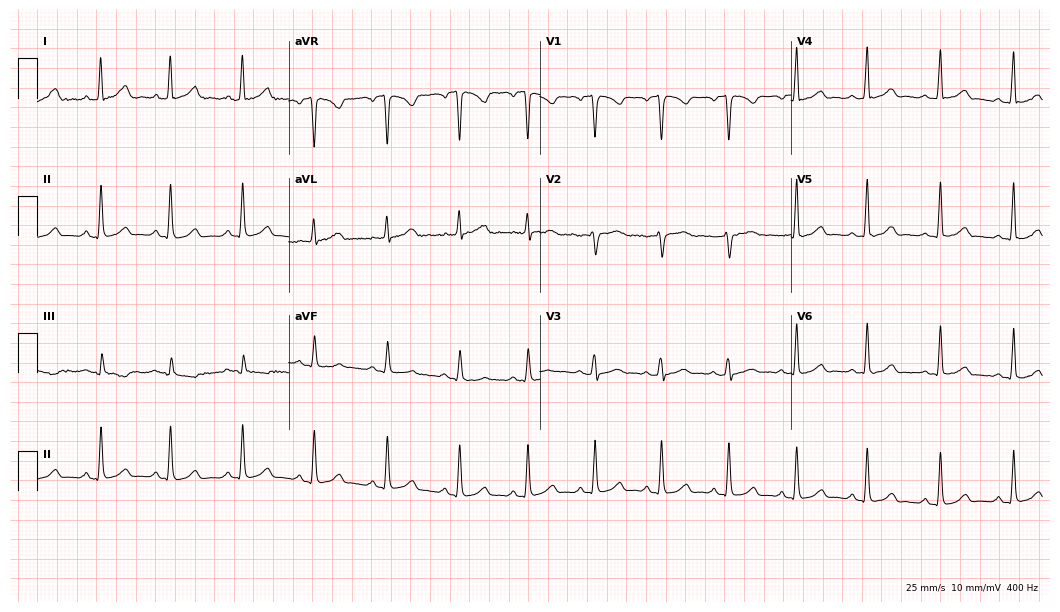
Standard 12-lead ECG recorded from a 26-year-old female (10.2-second recording at 400 Hz). None of these six findings is recorded: first-degree AV block, right bundle branch block, left bundle branch block, sinus bradycardia, atrial fibrillation, sinus tachycardia.